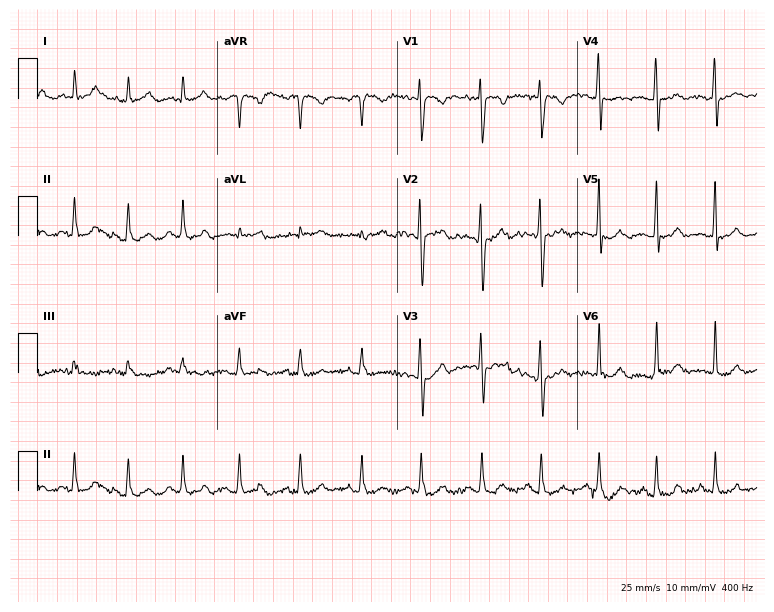
Standard 12-lead ECG recorded from a 26-year-old female patient (7.3-second recording at 400 Hz). None of these six findings is recorded: first-degree AV block, right bundle branch block (RBBB), left bundle branch block (LBBB), sinus bradycardia, atrial fibrillation (AF), sinus tachycardia. Findings outside these six are not listed.